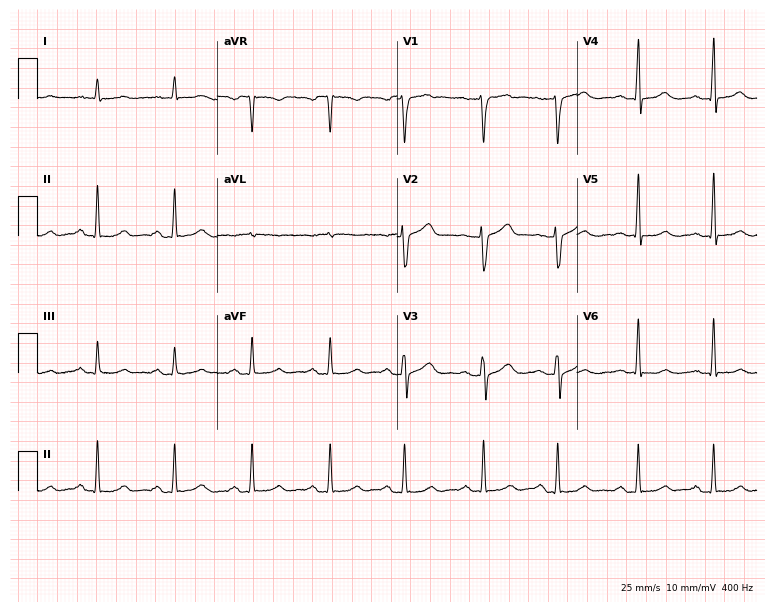
12-lead ECG from a male patient, 69 years old. No first-degree AV block, right bundle branch block, left bundle branch block, sinus bradycardia, atrial fibrillation or sinus tachycardia recorded for this tracing. Findings outside these six are not listed.